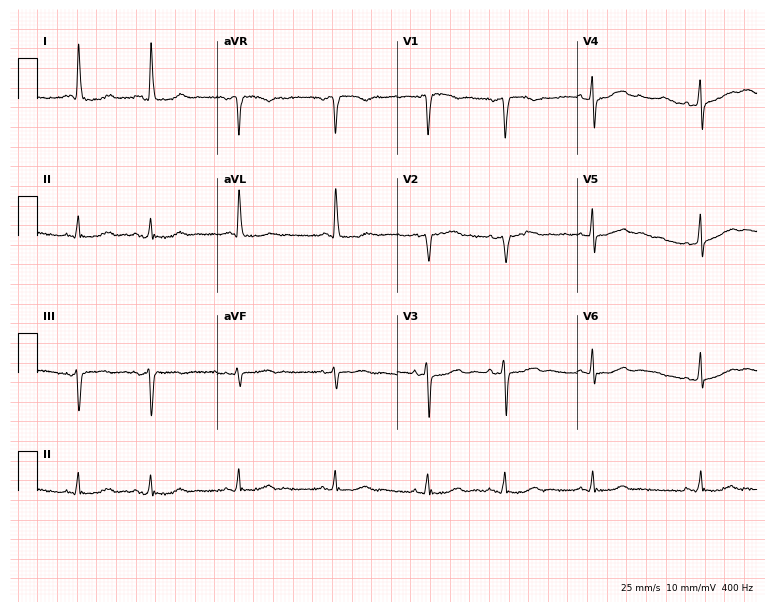
Electrocardiogram, a woman, 69 years old. Of the six screened findings (first-degree AV block, right bundle branch block, left bundle branch block, sinus bradycardia, atrial fibrillation, sinus tachycardia), none is recorded.